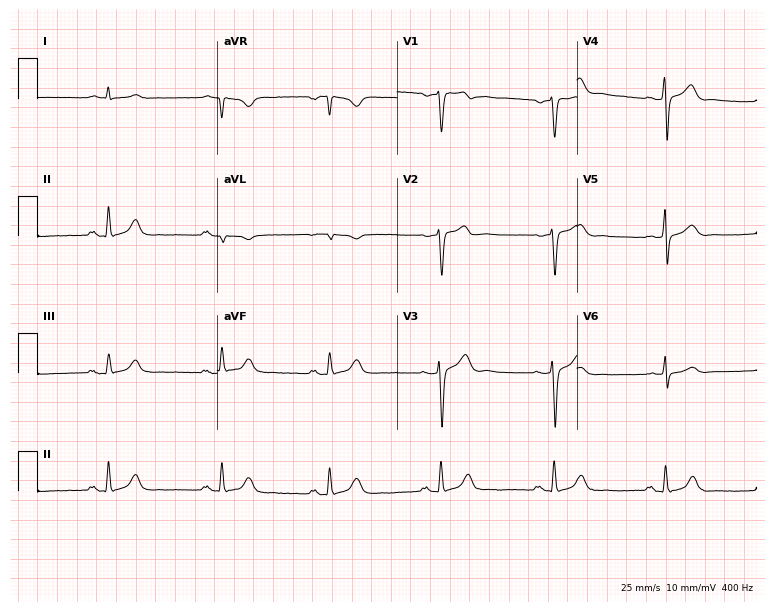
ECG — a 57-year-old man. Screened for six findings — first-degree AV block, right bundle branch block (RBBB), left bundle branch block (LBBB), sinus bradycardia, atrial fibrillation (AF), sinus tachycardia — none is recorded. Other findings, if any, are not listed.